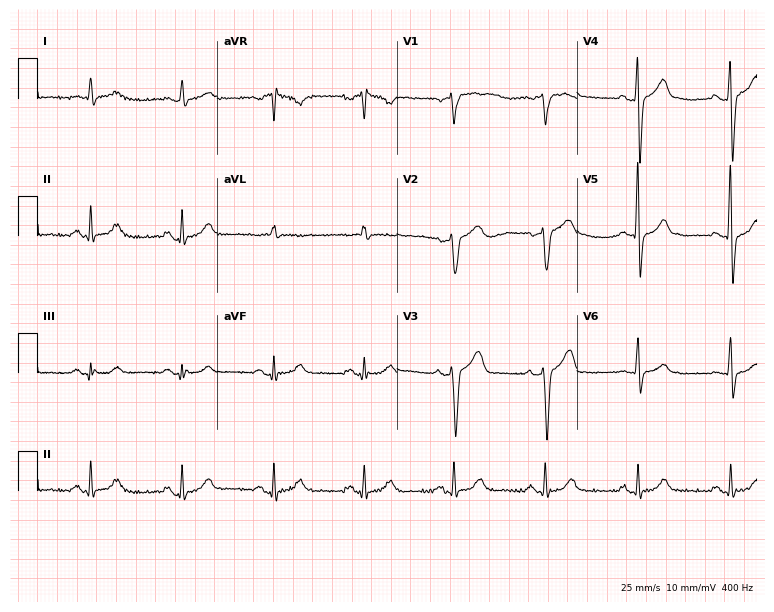
Resting 12-lead electrocardiogram (7.3-second recording at 400 Hz). Patient: a 75-year-old male. None of these six findings is recorded: first-degree AV block, right bundle branch block, left bundle branch block, sinus bradycardia, atrial fibrillation, sinus tachycardia. Findings outside these six are not listed.